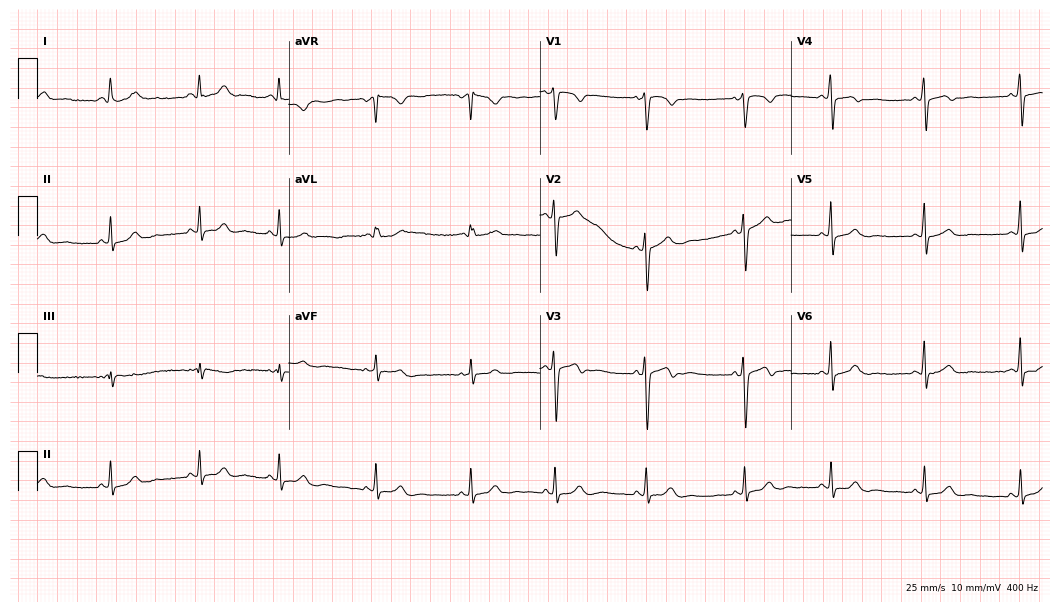
Resting 12-lead electrocardiogram. Patient: a female, 22 years old. Read as a normal ECG.